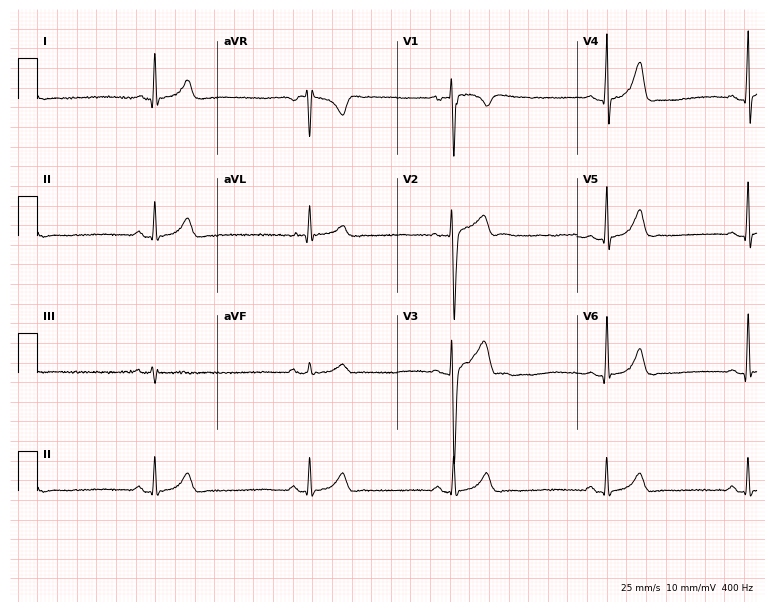
Electrocardiogram, a man, 25 years old. Interpretation includes sinus bradycardia (a sinus rate of 50 beats per minute or less).